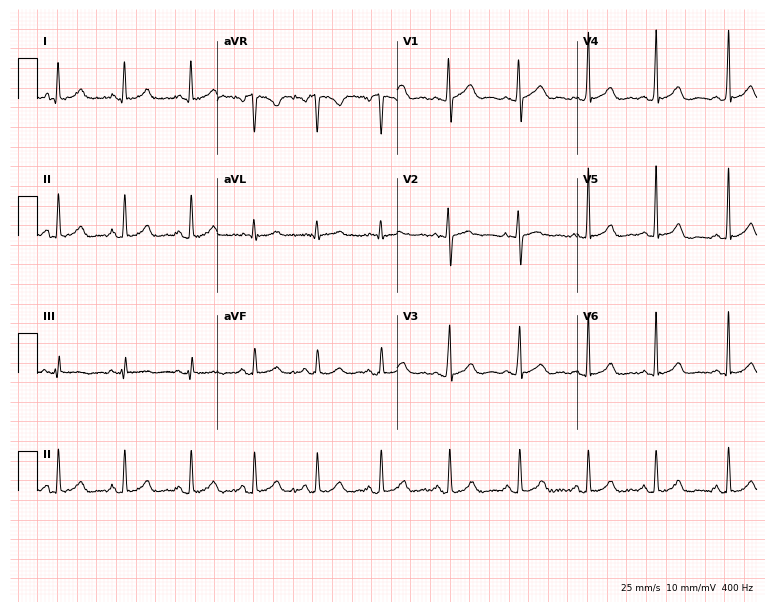
Standard 12-lead ECG recorded from a female patient, 24 years old (7.3-second recording at 400 Hz). None of these six findings is recorded: first-degree AV block, right bundle branch block (RBBB), left bundle branch block (LBBB), sinus bradycardia, atrial fibrillation (AF), sinus tachycardia.